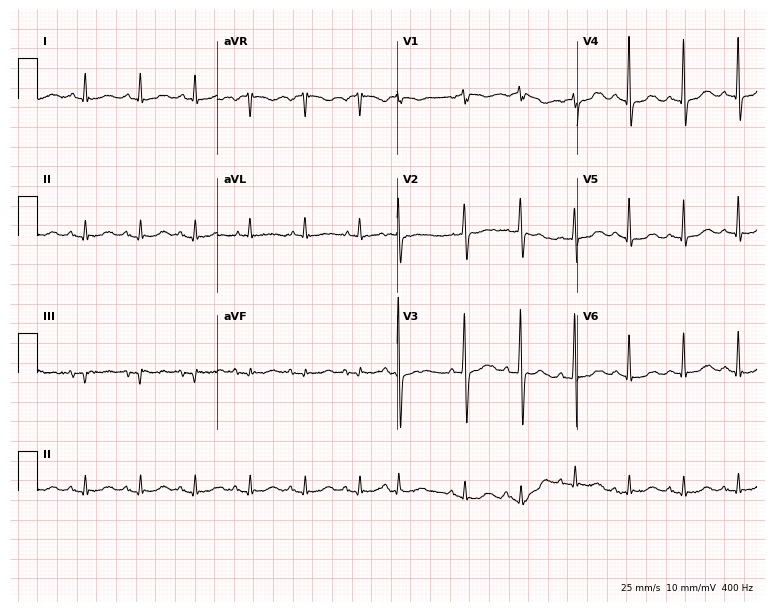
Resting 12-lead electrocardiogram. Patient: a woman, 75 years old. The tracing shows sinus tachycardia (a sinus rate of 100 beats per minute or more).